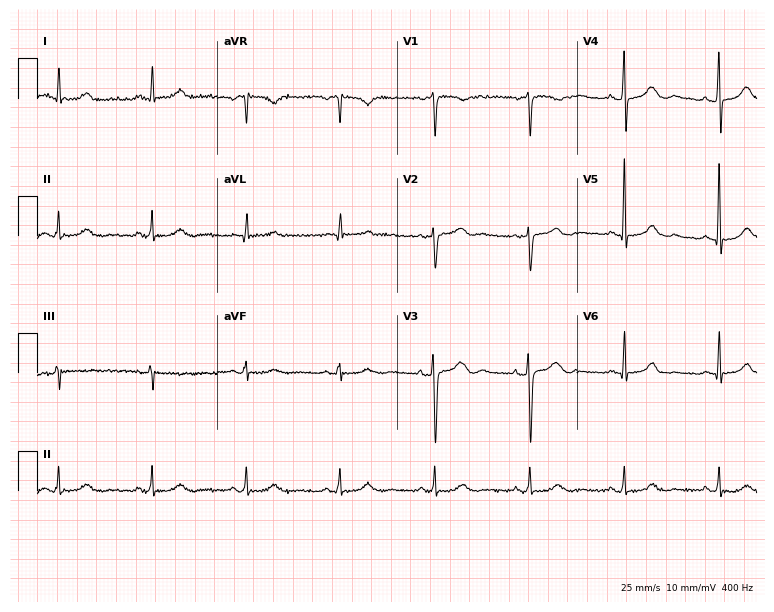
Resting 12-lead electrocardiogram. Patient: a female, 57 years old. None of these six findings is recorded: first-degree AV block, right bundle branch block, left bundle branch block, sinus bradycardia, atrial fibrillation, sinus tachycardia.